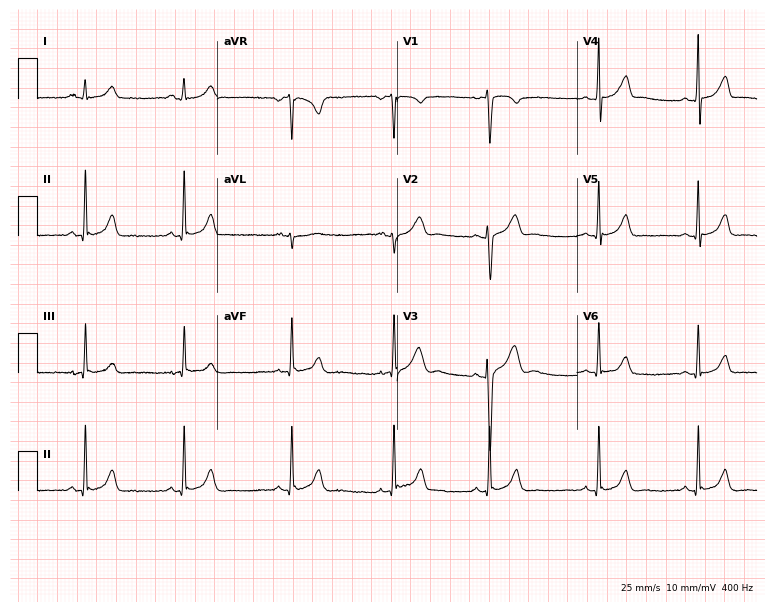
12-lead ECG from a woman, 20 years old (7.3-second recording at 400 Hz). Recorded interpretation: within normal limits.